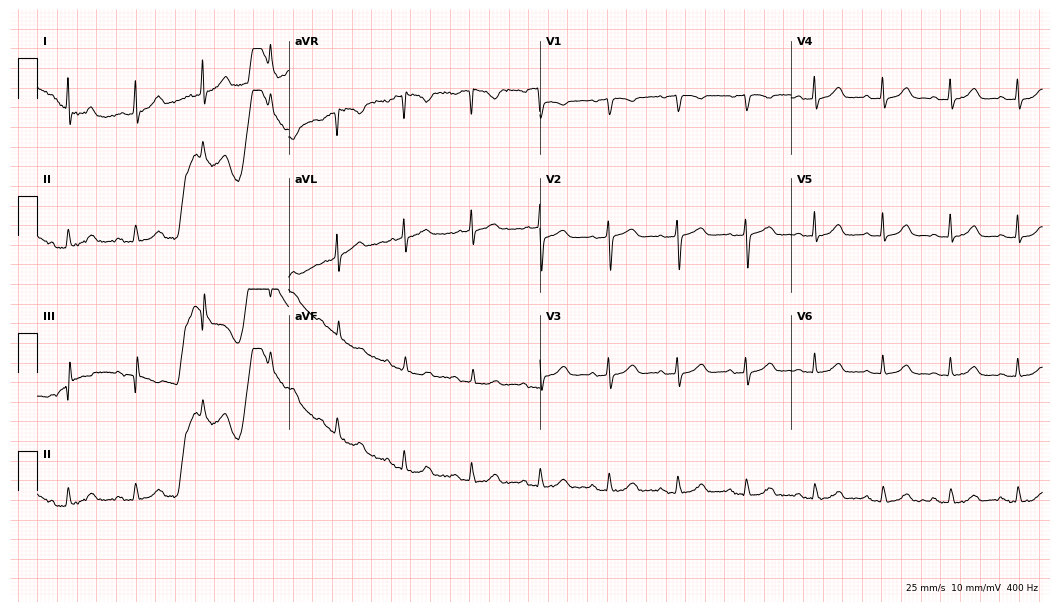
12-lead ECG from a woman, 83 years old. Labelled as a normal ECG.